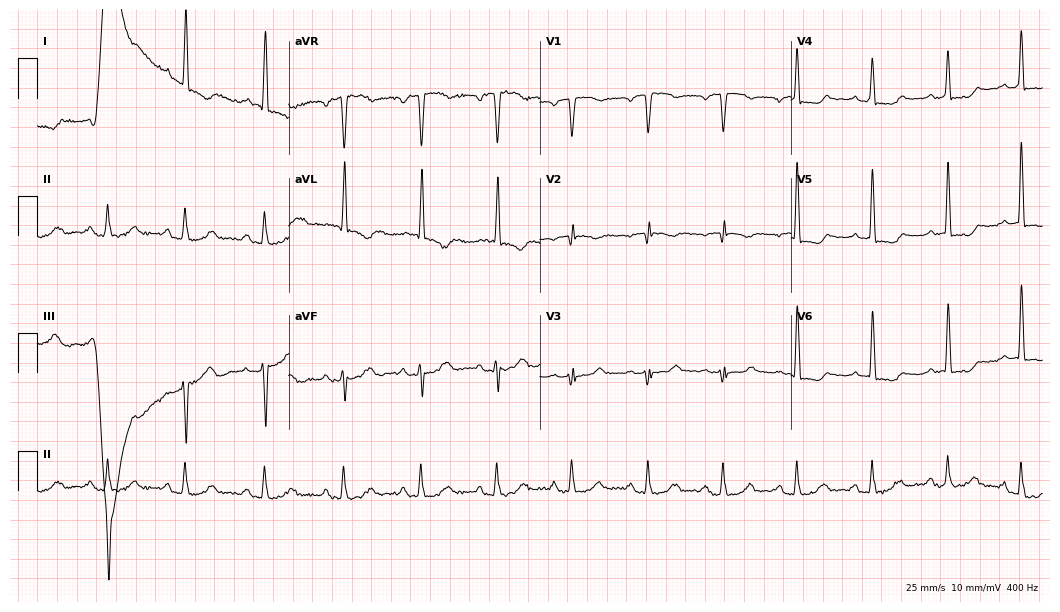
12-lead ECG from a woman, 68 years old. Screened for six findings — first-degree AV block, right bundle branch block, left bundle branch block, sinus bradycardia, atrial fibrillation, sinus tachycardia — none is recorded. Only these six findings were labelled.